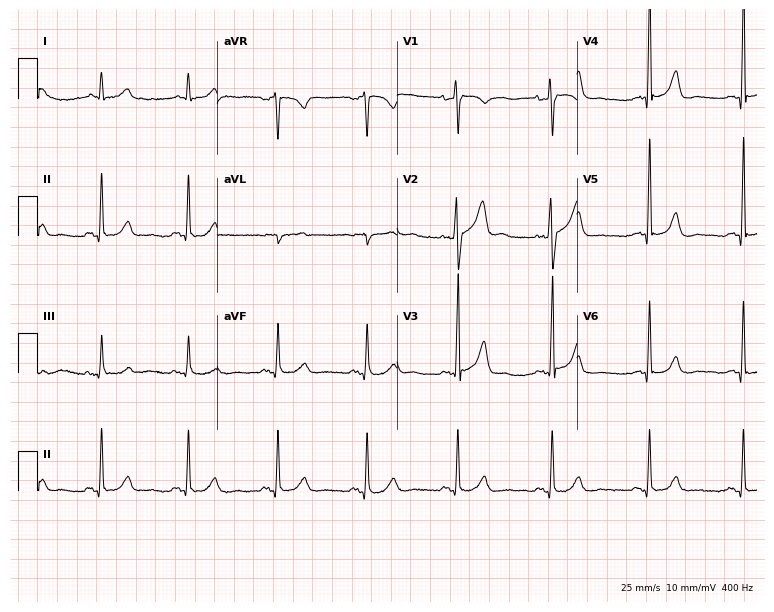
Electrocardiogram (7.3-second recording at 400 Hz), a man, 58 years old. Of the six screened findings (first-degree AV block, right bundle branch block (RBBB), left bundle branch block (LBBB), sinus bradycardia, atrial fibrillation (AF), sinus tachycardia), none is recorded.